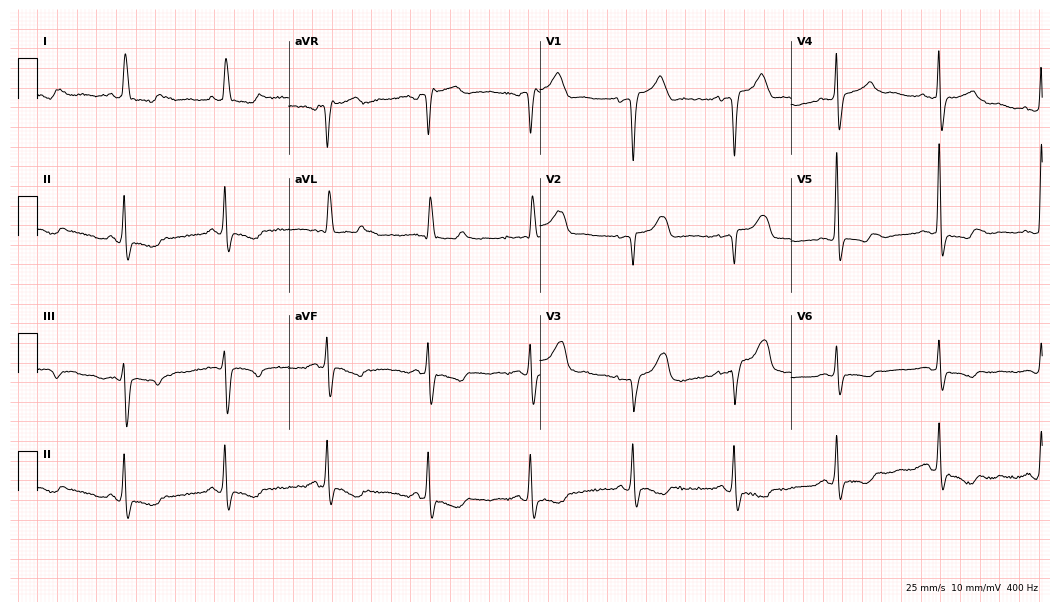
Resting 12-lead electrocardiogram (10.2-second recording at 400 Hz). Patient: an 82-year-old male. None of these six findings is recorded: first-degree AV block, right bundle branch block, left bundle branch block, sinus bradycardia, atrial fibrillation, sinus tachycardia.